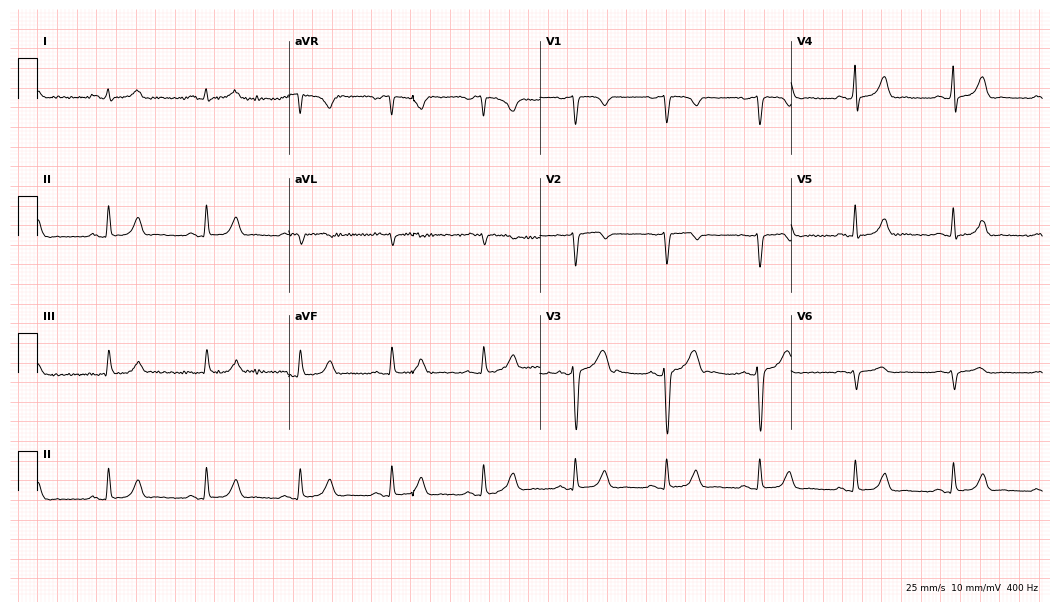
12-lead ECG from a male patient, 49 years old (10.2-second recording at 400 Hz). No first-degree AV block, right bundle branch block, left bundle branch block, sinus bradycardia, atrial fibrillation or sinus tachycardia recorded for this tracing.